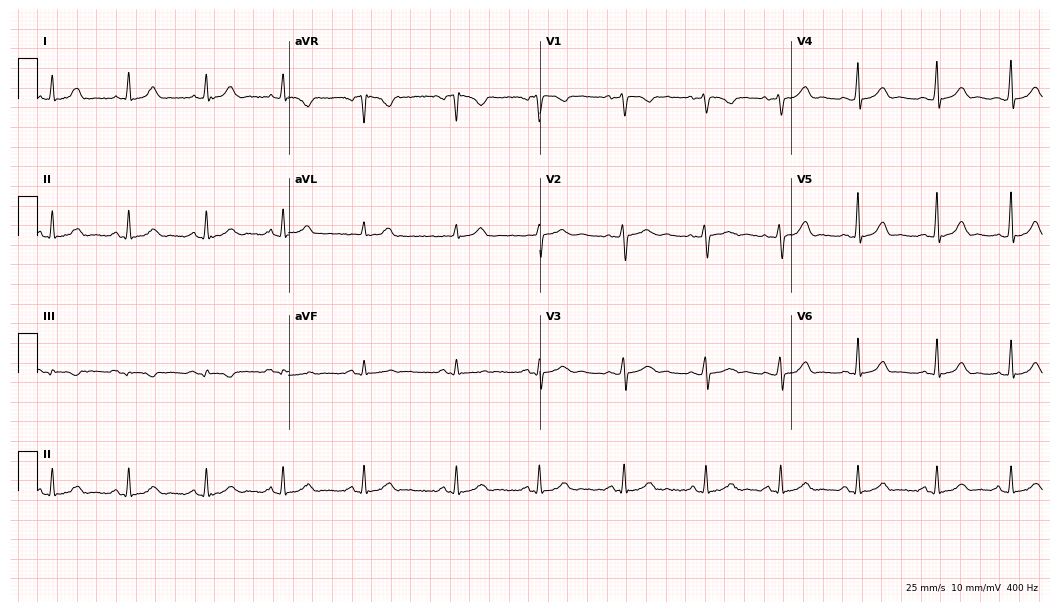
12-lead ECG from a woman, 28 years old. No first-degree AV block, right bundle branch block (RBBB), left bundle branch block (LBBB), sinus bradycardia, atrial fibrillation (AF) or sinus tachycardia recorded for this tracing.